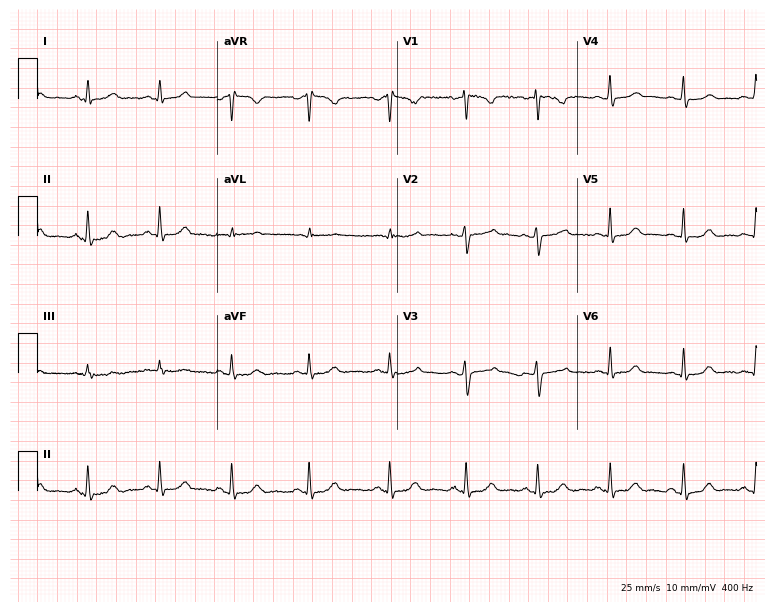
12-lead ECG from a female, 17 years old. Labelled as a normal ECG.